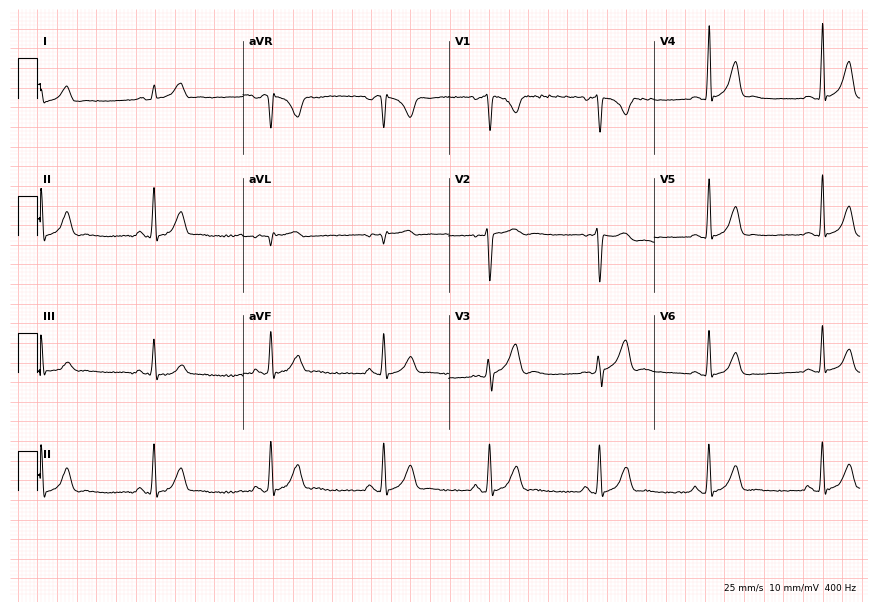
12-lead ECG (8.4-second recording at 400 Hz) from a 24-year-old female. Labelled as a normal ECG.